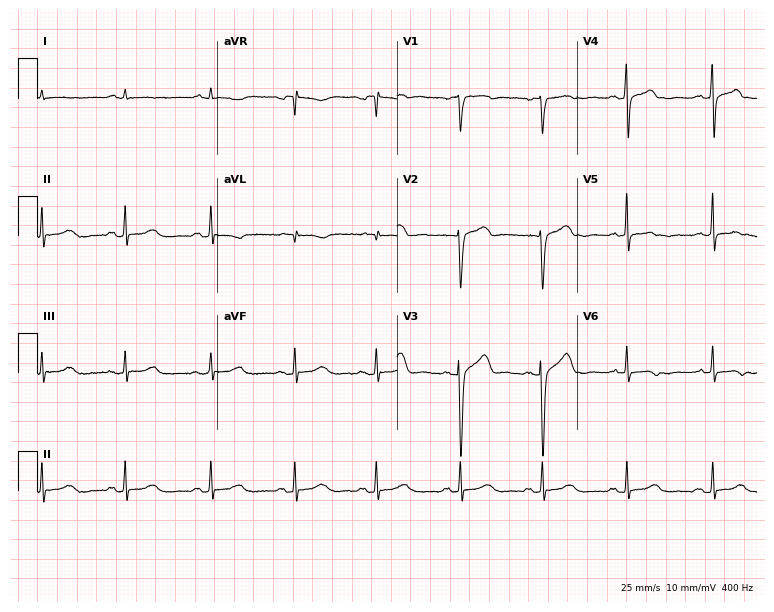
Resting 12-lead electrocardiogram (7.3-second recording at 400 Hz). Patient: a 47-year-old man. None of these six findings is recorded: first-degree AV block, right bundle branch block (RBBB), left bundle branch block (LBBB), sinus bradycardia, atrial fibrillation (AF), sinus tachycardia.